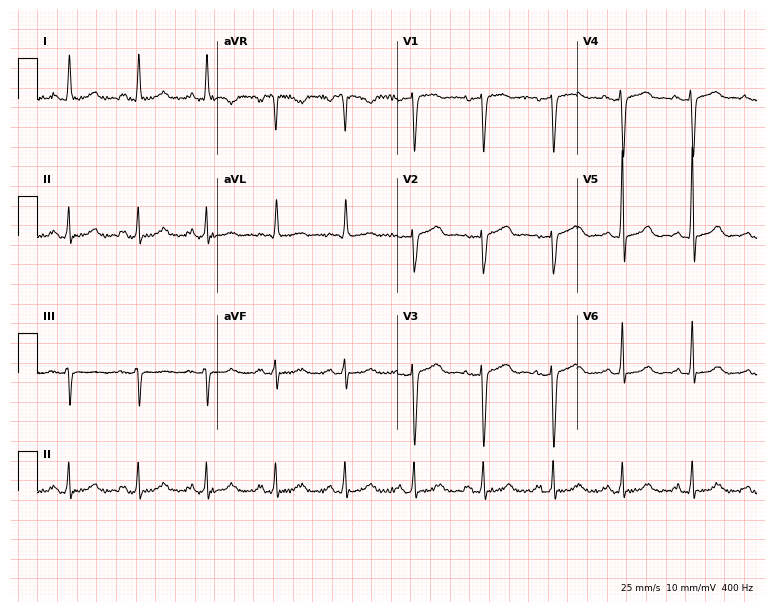
Electrocardiogram (7.3-second recording at 400 Hz), a 59-year-old female. Overall reading on record: normal ECG.